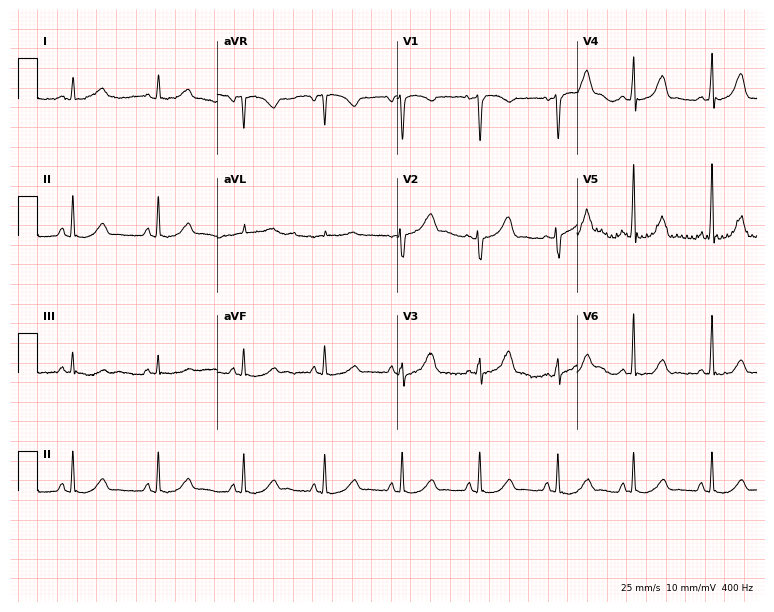
Resting 12-lead electrocardiogram. Patient: a 51-year-old woman. None of these six findings is recorded: first-degree AV block, right bundle branch block, left bundle branch block, sinus bradycardia, atrial fibrillation, sinus tachycardia. Only these six findings were labelled.